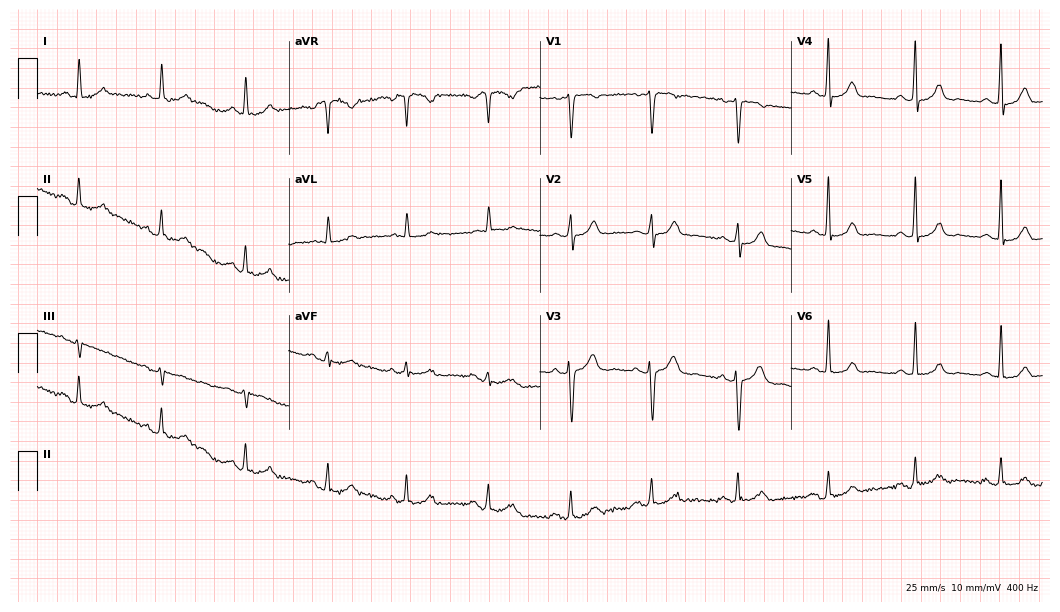
ECG (10.2-second recording at 400 Hz) — a female patient, 37 years old. Screened for six findings — first-degree AV block, right bundle branch block, left bundle branch block, sinus bradycardia, atrial fibrillation, sinus tachycardia — none is recorded. Other findings, if any, are not listed.